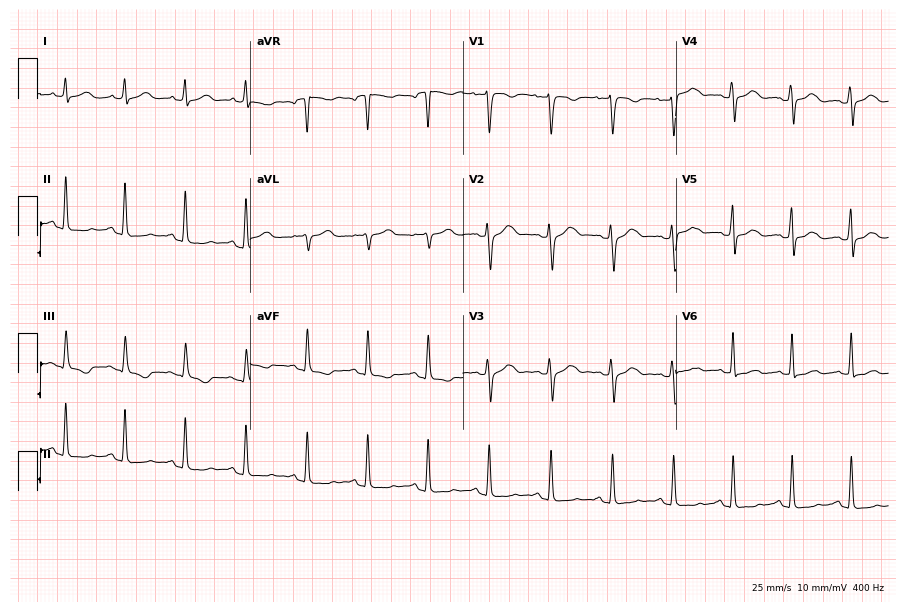
Resting 12-lead electrocardiogram. Patient: a 44-year-old female. None of these six findings is recorded: first-degree AV block, right bundle branch block, left bundle branch block, sinus bradycardia, atrial fibrillation, sinus tachycardia.